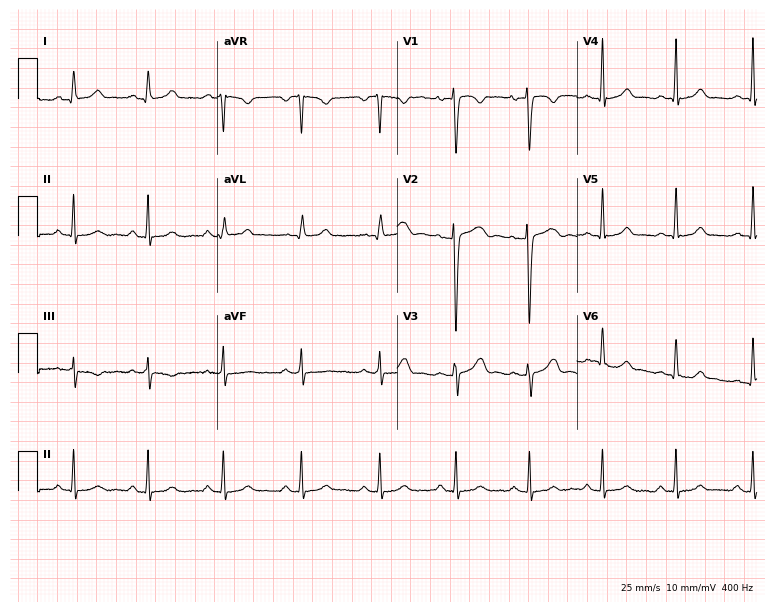
Electrocardiogram, a female, 21 years old. Of the six screened findings (first-degree AV block, right bundle branch block, left bundle branch block, sinus bradycardia, atrial fibrillation, sinus tachycardia), none is recorded.